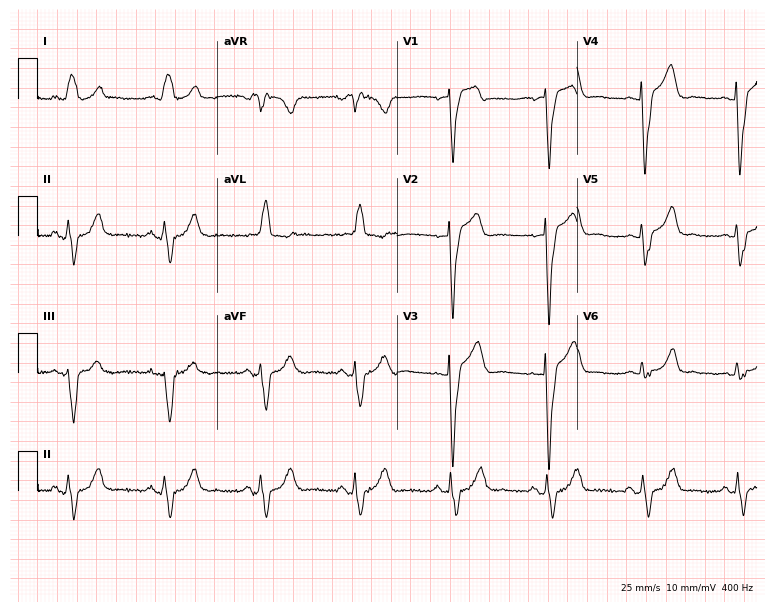
Electrocardiogram, a 73-year-old woman. Interpretation includes left bundle branch block.